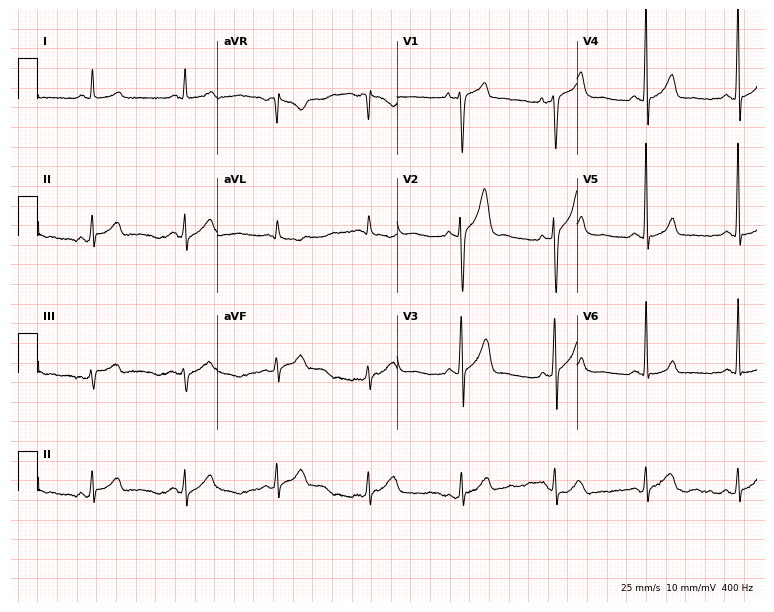
ECG (7.3-second recording at 400 Hz) — a male patient, 54 years old. Labelled as a normal ECG.